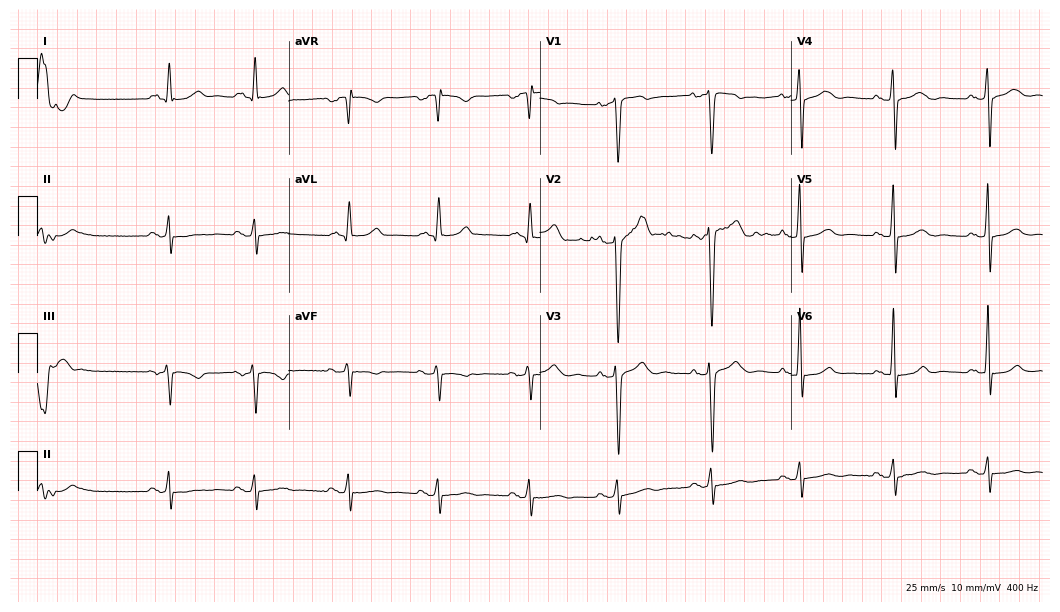
12-lead ECG (10.2-second recording at 400 Hz) from a 59-year-old male patient. Labelled as a normal ECG.